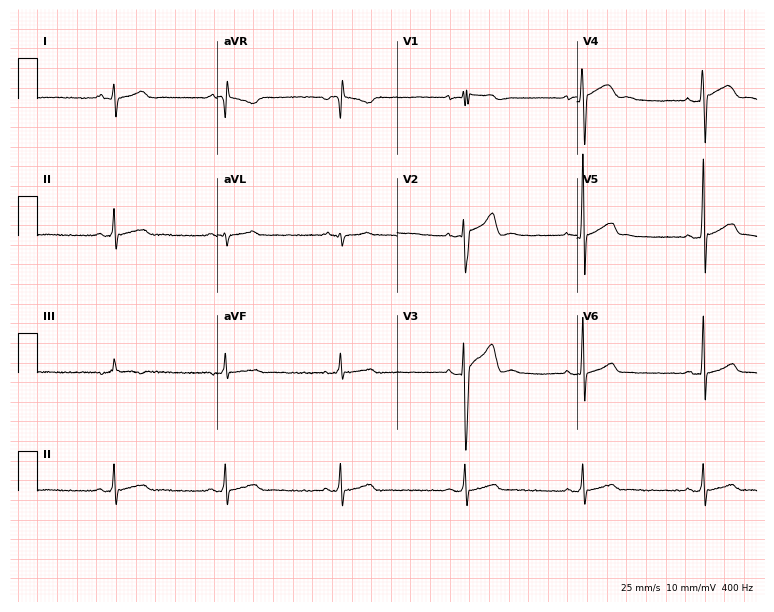
Electrocardiogram, a 23-year-old man. Overall reading on record: normal ECG.